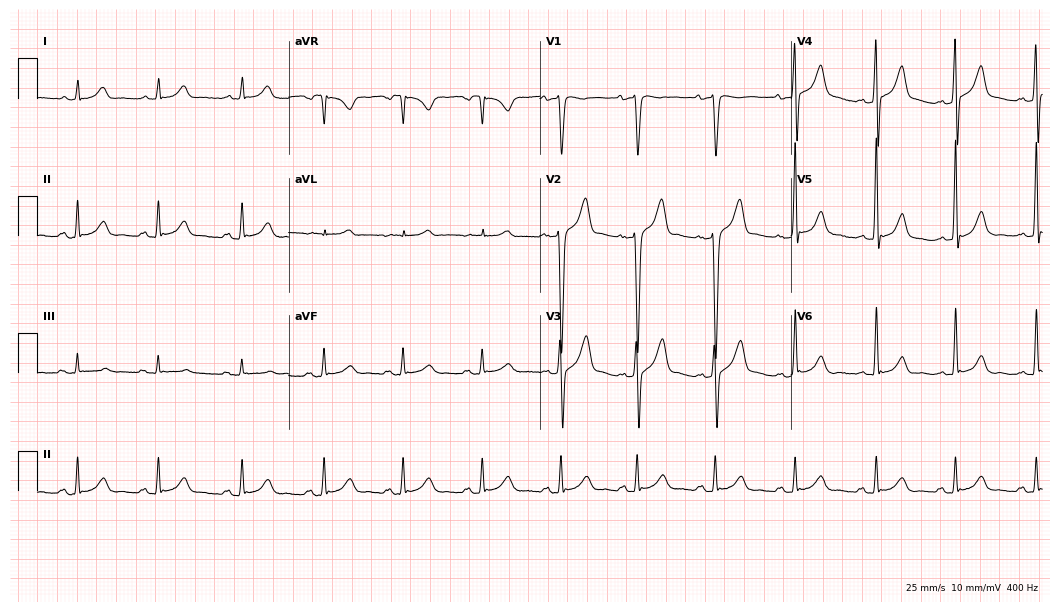
Resting 12-lead electrocardiogram. Patient: a 33-year-old man. Read as a normal ECG.